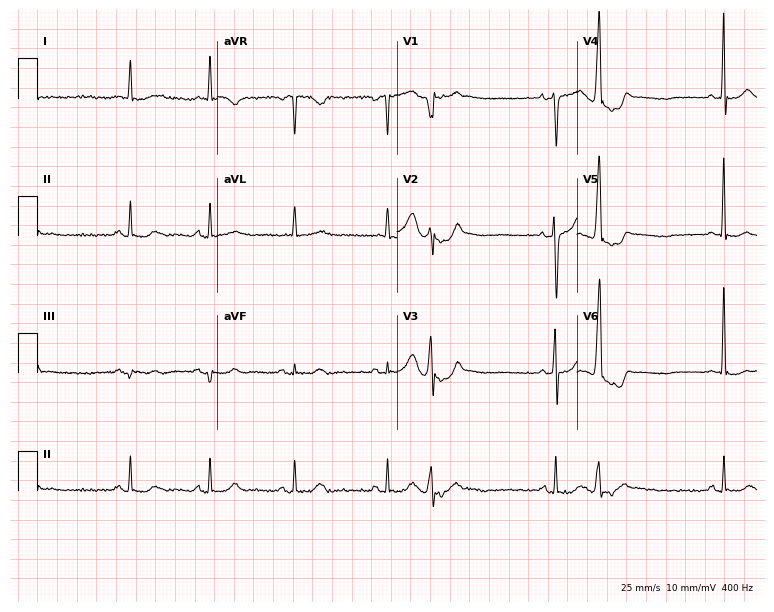
12-lead ECG from a 79-year-old male patient. No first-degree AV block, right bundle branch block (RBBB), left bundle branch block (LBBB), sinus bradycardia, atrial fibrillation (AF) or sinus tachycardia recorded for this tracing. Findings outside these six are not listed.